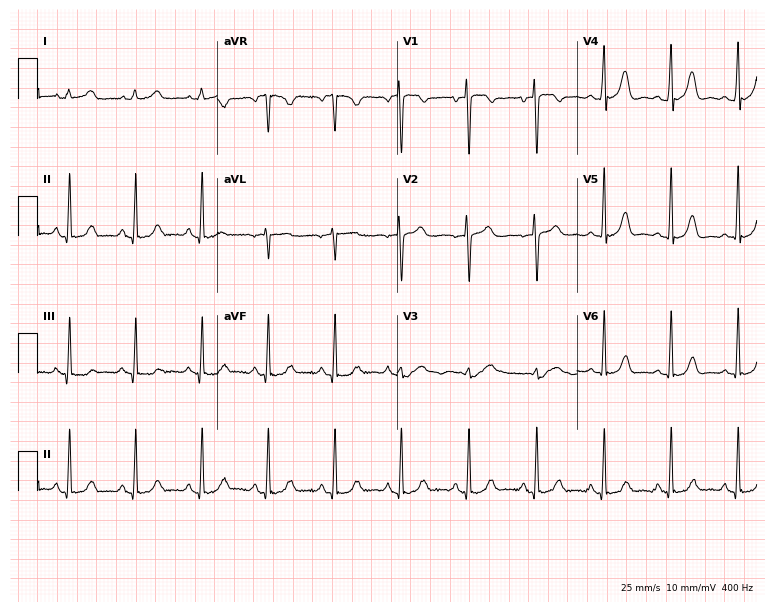
12-lead ECG (7.3-second recording at 400 Hz) from a female patient, 30 years old. Labelled as a normal ECG.